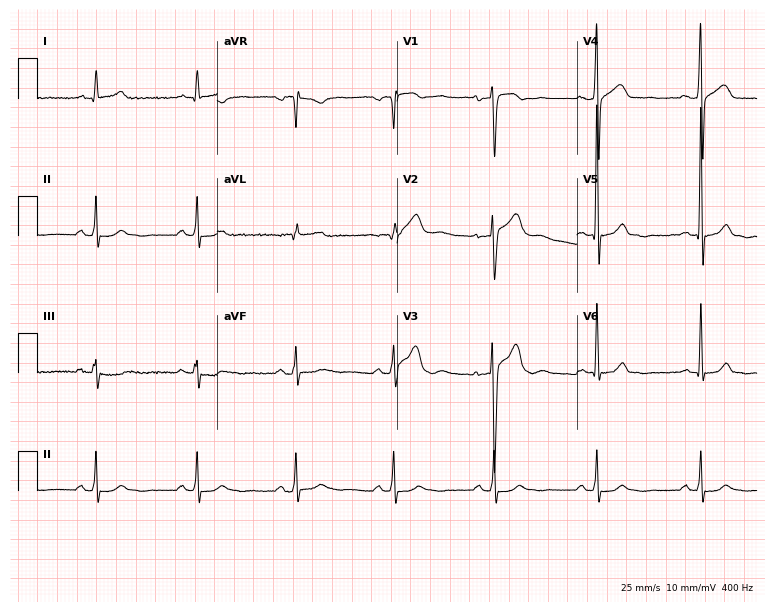
ECG — a 47-year-old male patient. Screened for six findings — first-degree AV block, right bundle branch block, left bundle branch block, sinus bradycardia, atrial fibrillation, sinus tachycardia — none is recorded.